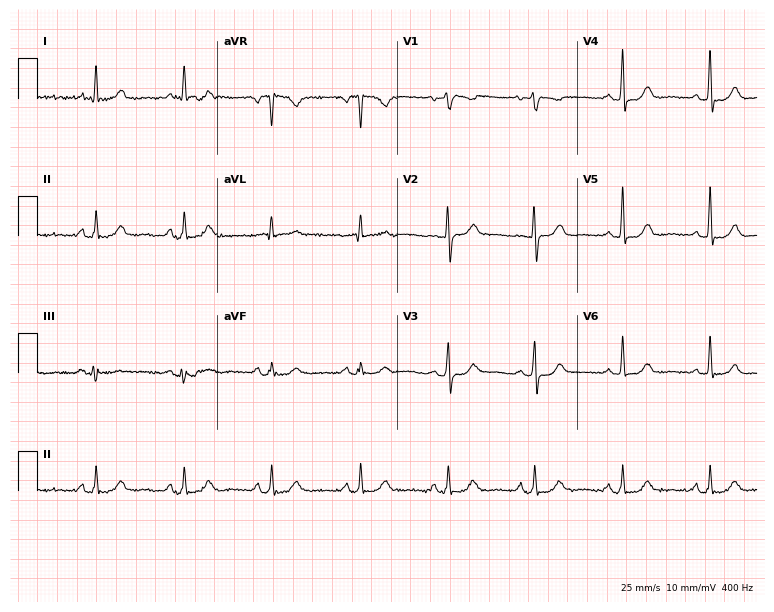
ECG — an 88-year-old male patient. Screened for six findings — first-degree AV block, right bundle branch block (RBBB), left bundle branch block (LBBB), sinus bradycardia, atrial fibrillation (AF), sinus tachycardia — none is recorded. Only these six findings were labelled.